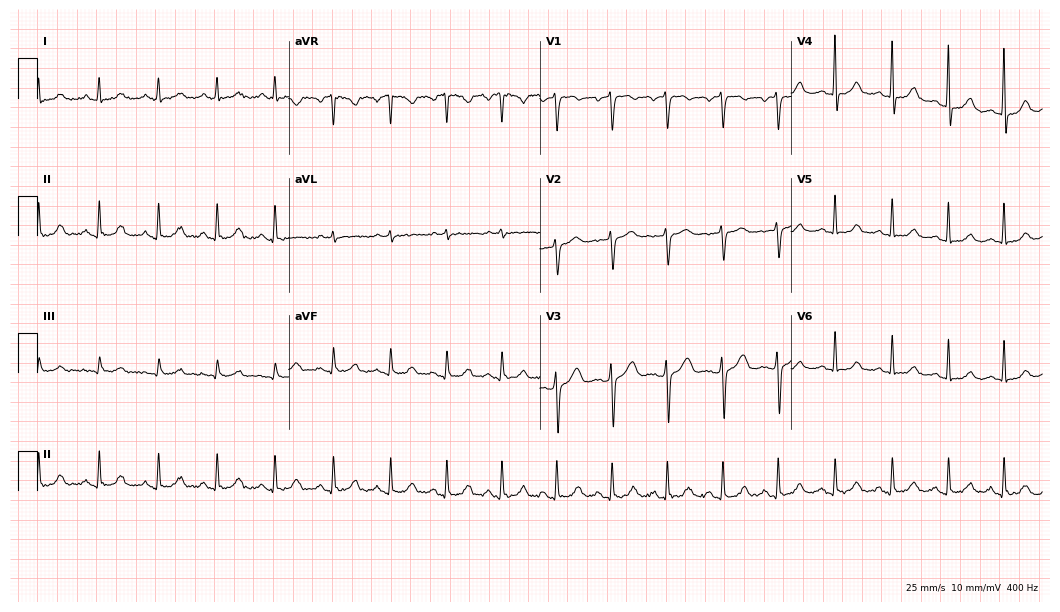
ECG — a female patient, 39 years old. Findings include sinus tachycardia (a sinus rate of 100 beats per minute or more).